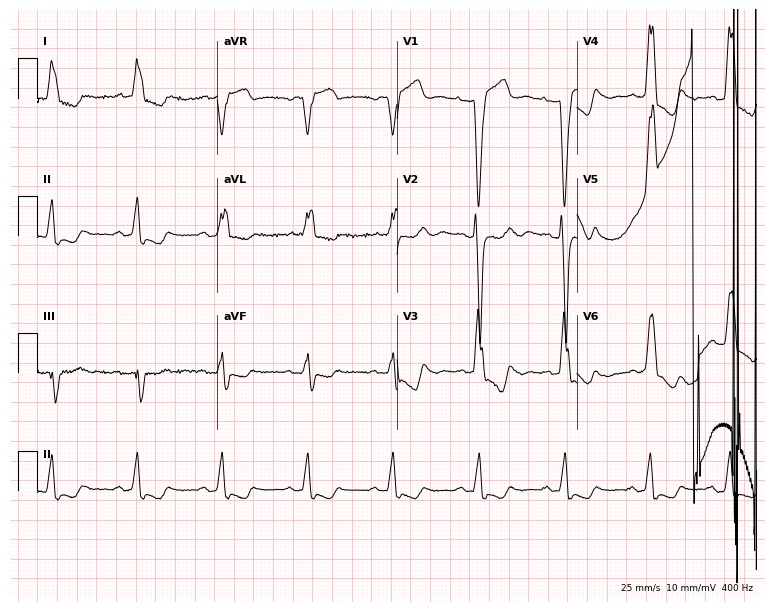
Resting 12-lead electrocardiogram (7.3-second recording at 400 Hz). Patient: a female, 82 years old. None of these six findings is recorded: first-degree AV block, right bundle branch block, left bundle branch block, sinus bradycardia, atrial fibrillation, sinus tachycardia. Findings outside these six are not listed.